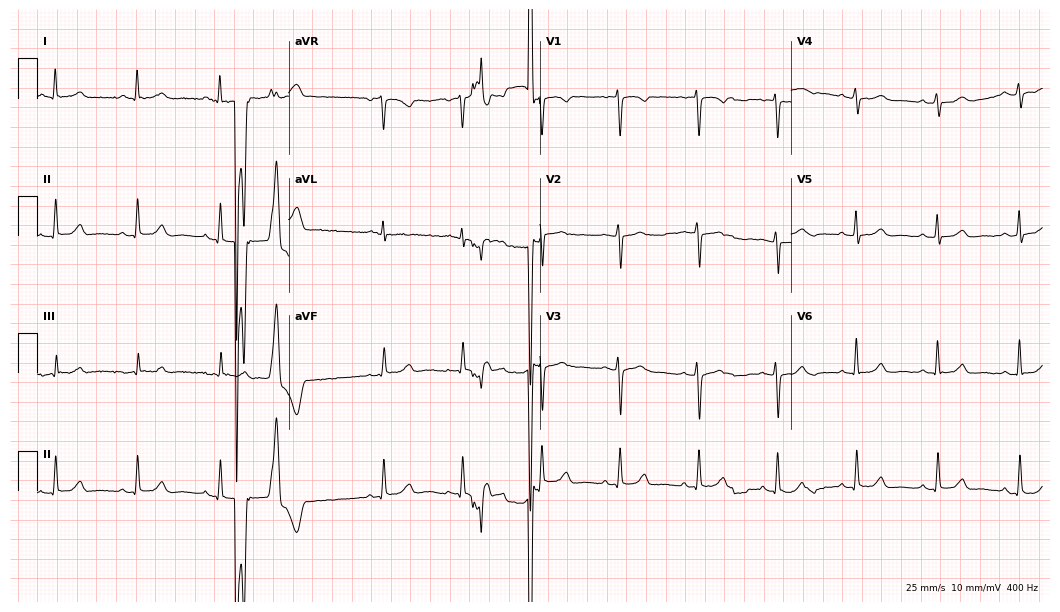
Electrocardiogram, a 54-year-old female patient. Overall reading on record: normal ECG.